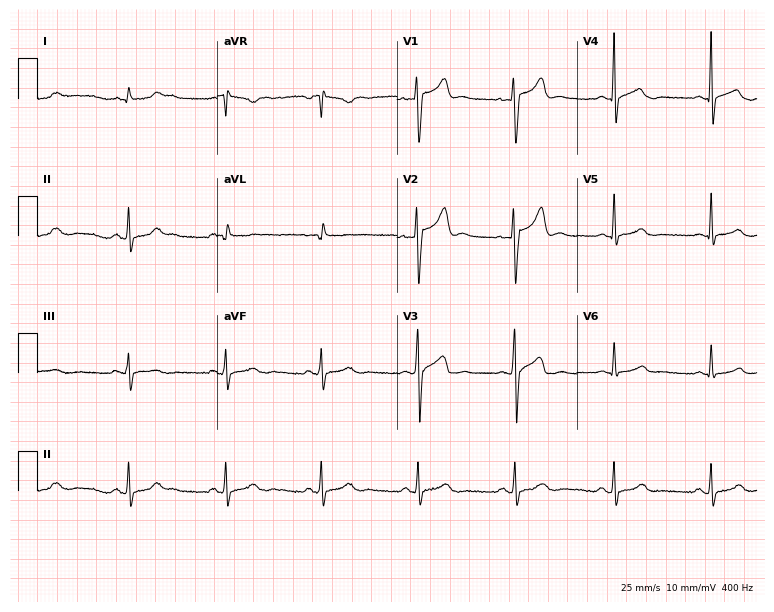
Resting 12-lead electrocardiogram. Patient: a male, 34 years old. None of these six findings is recorded: first-degree AV block, right bundle branch block, left bundle branch block, sinus bradycardia, atrial fibrillation, sinus tachycardia. Only these six findings were labelled.